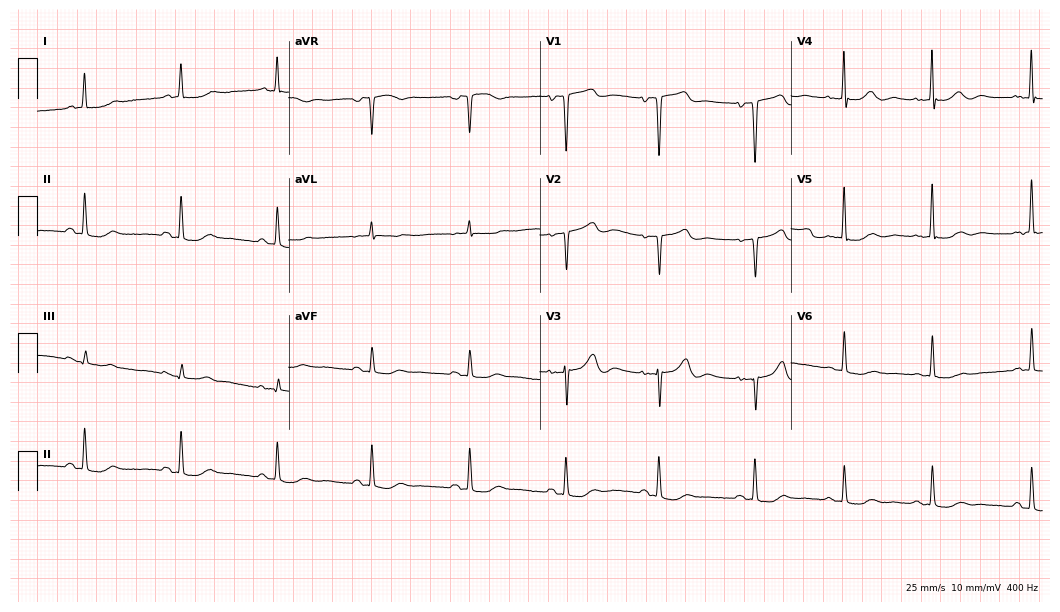
Standard 12-lead ECG recorded from a woman, 75 years old. None of these six findings is recorded: first-degree AV block, right bundle branch block, left bundle branch block, sinus bradycardia, atrial fibrillation, sinus tachycardia.